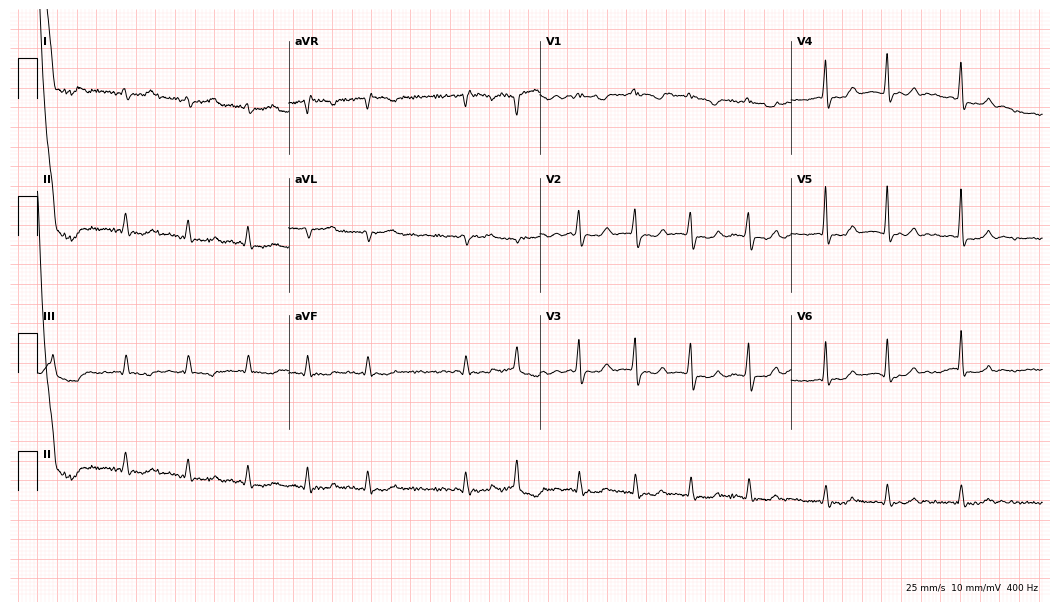
Standard 12-lead ECG recorded from a man, 80 years old. The tracing shows atrial fibrillation (AF).